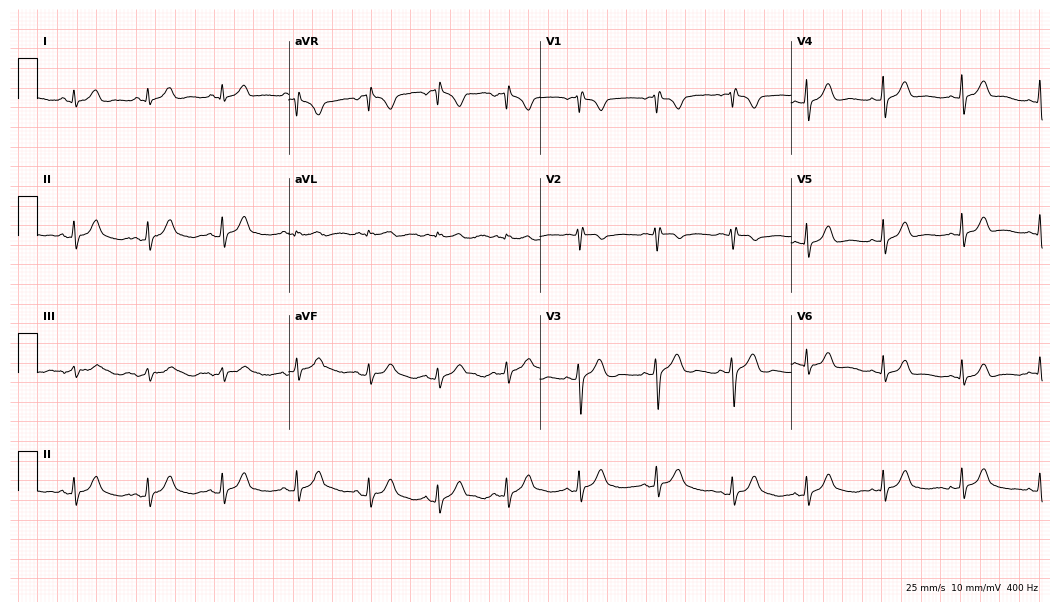
ECG — a 20-year-old female. Labelled as a normal ECG.